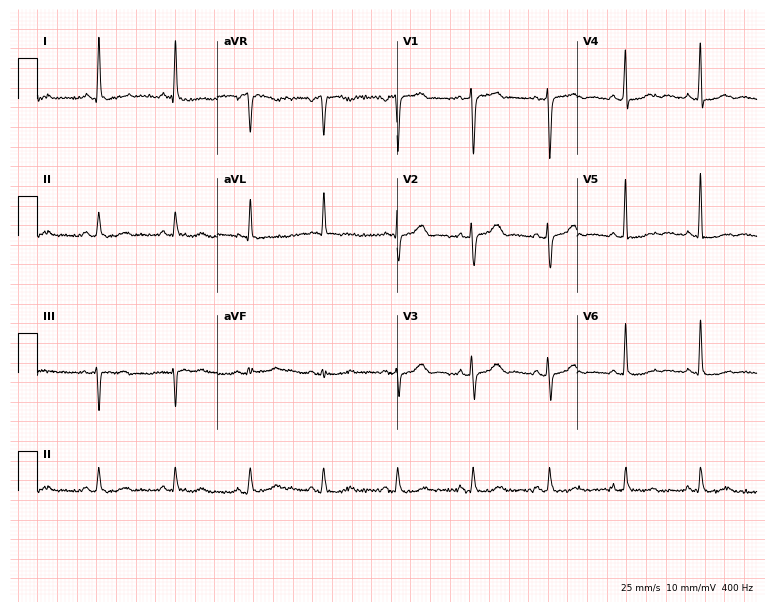
Standard 12-lead ECG recorded from a 50-year-old female patient. None of these six findings is recorded: first-degree AV block, right bundle branch block (RBBB), left bundle branch block (LBBB), sinus bradycardia, atrial fibrillation (AF), sinus tachycardia. Only these six findings were labelled.